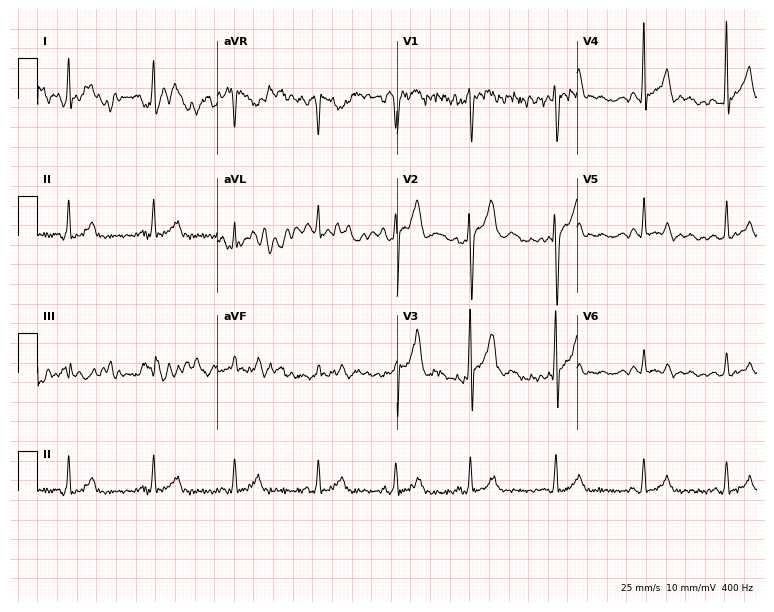
ECG (7.3-second recording at 400 Hz) — a male, 20 years old. Screened for six findings — first-degree AV block, right bundle branch block (RBBB), left bundle branch block (LBBB), sinus bradycardia, atrial fibrillation (AF), sinus tachycardia — none is recorded.